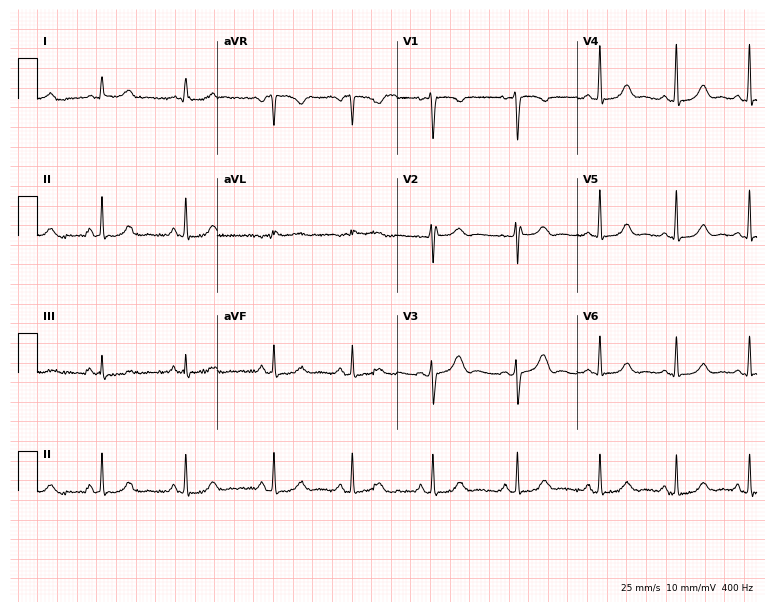
Resting 12-lead electrocardiogram (7.3-second recording at 400 Hz). Patient: a female, 19 years old. Read as a normal ECG.